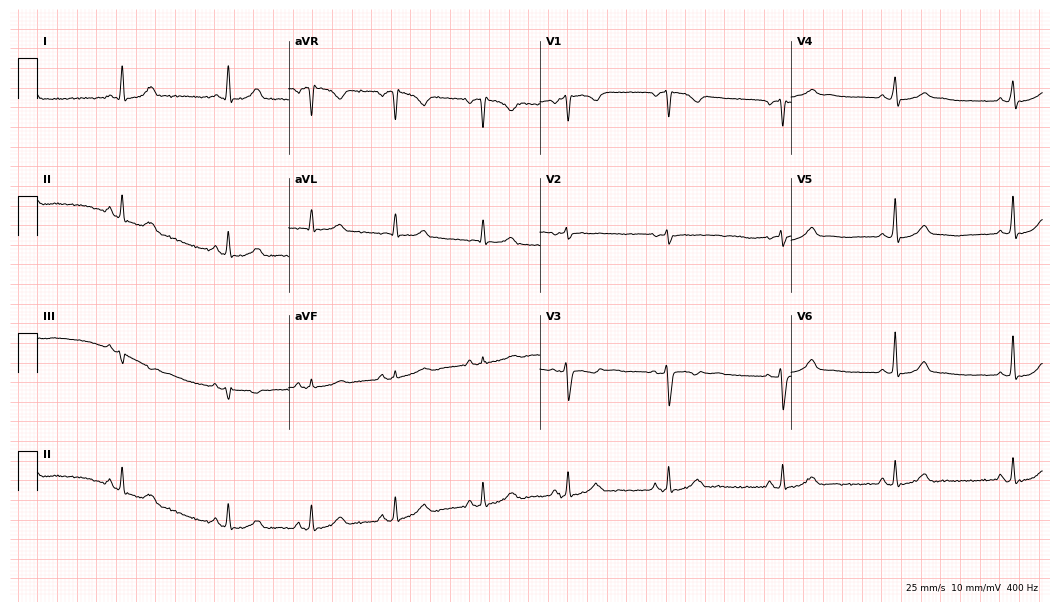
12-lead ECG from a 32-year-old female patient. Labelled as a normal ECG.